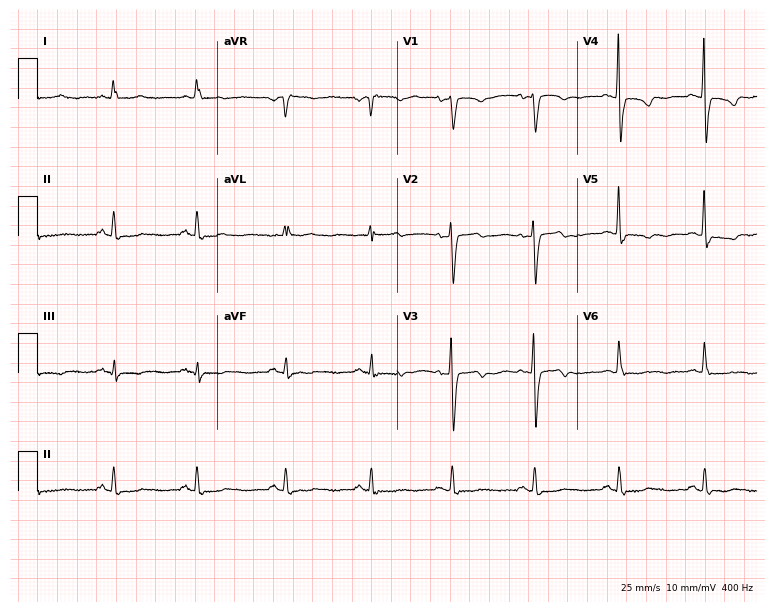
Resting 12-lead electrocardiogram. Patient: a female, 64 years old. None of these six findings is recorded: first-degree AV block, right bundle branch block, left bundle branch block, sinus bradycardia, atrial fibrillation, sinus tachycardia. Findings outside these six are not listed.